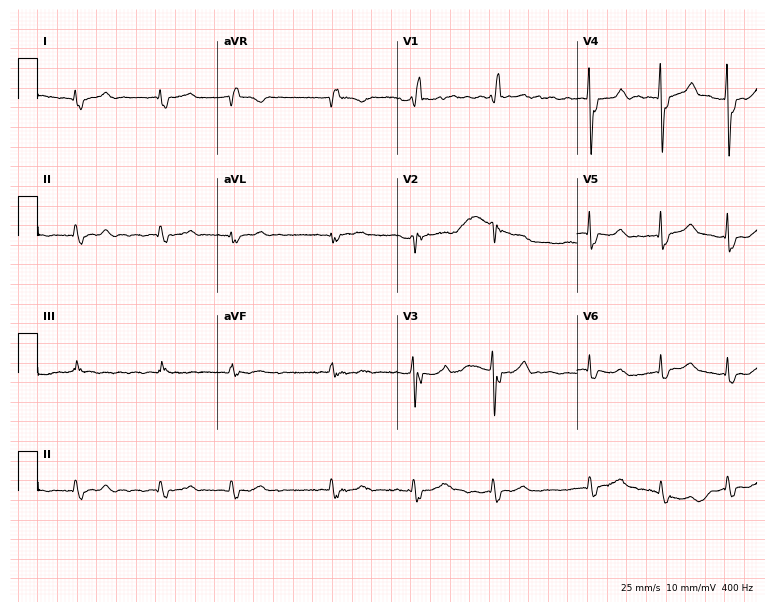
Standard 12-lead ECG recorded from a 70-year-old male (7.3-second recording at 400 Hz). The tracing shows right bundle branch block, atrial fibrillation.